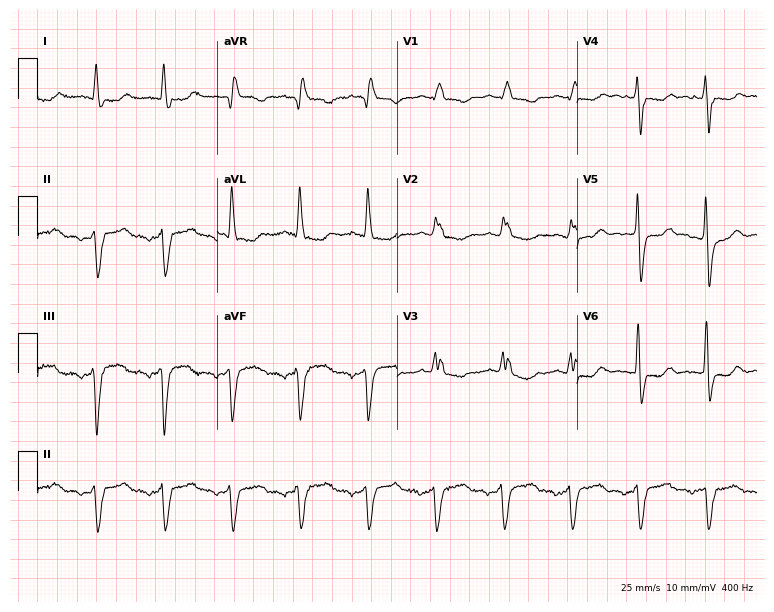
12-lead ECG from an 84-year-old woman. Shows right bundle branch block (RBBB).